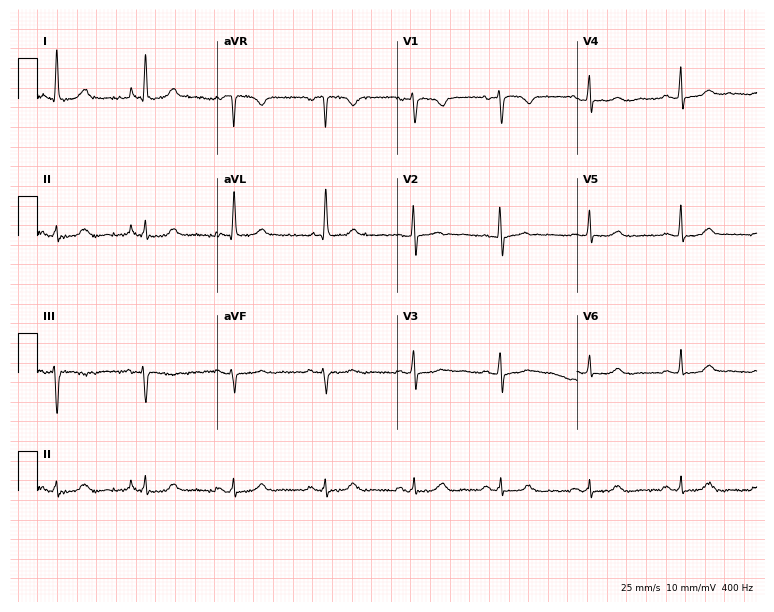
12-lead ECG from a woman, 68 years old. Labelled as a normal ECG.